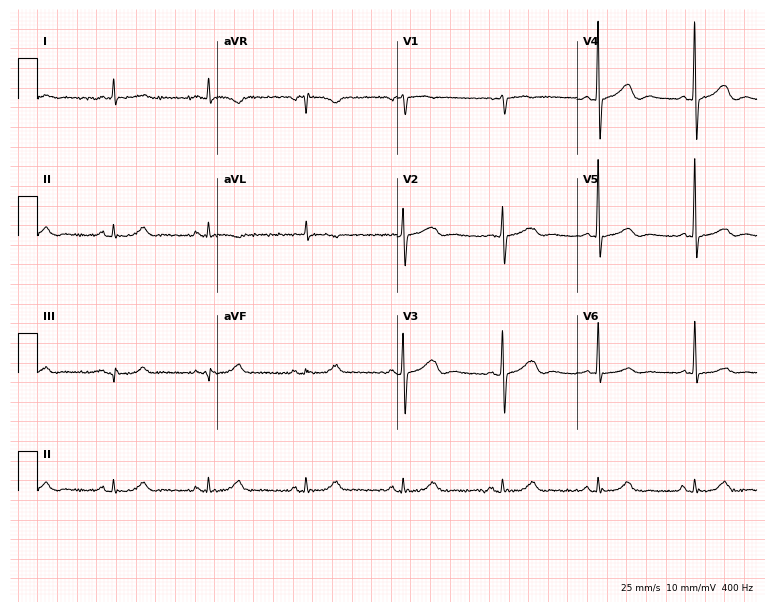
ECG — an 84-year-old female. Screened for six findings — first-degree AV block, right bundle branch block (RBBB), left bundle branch block (LBBB), sinus bradycardia, atrial fibrillation (AF), sinus tachycardia — none is recorded. Other findings, if any, are not listed.